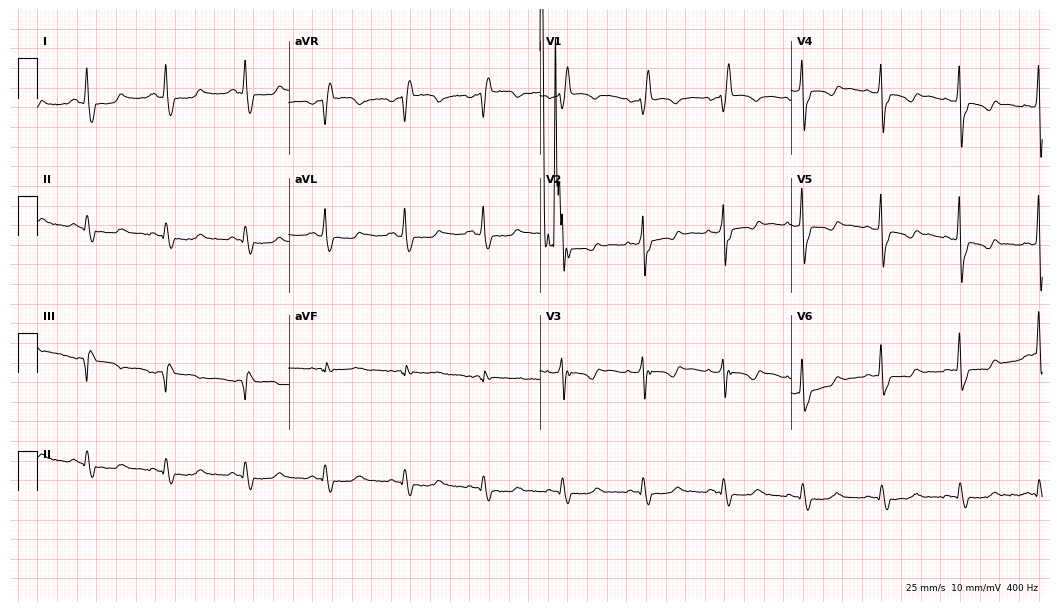
Standard 12-lead ECG recorded from a woman, 51 years old. The tracing shows right bundle branch block.